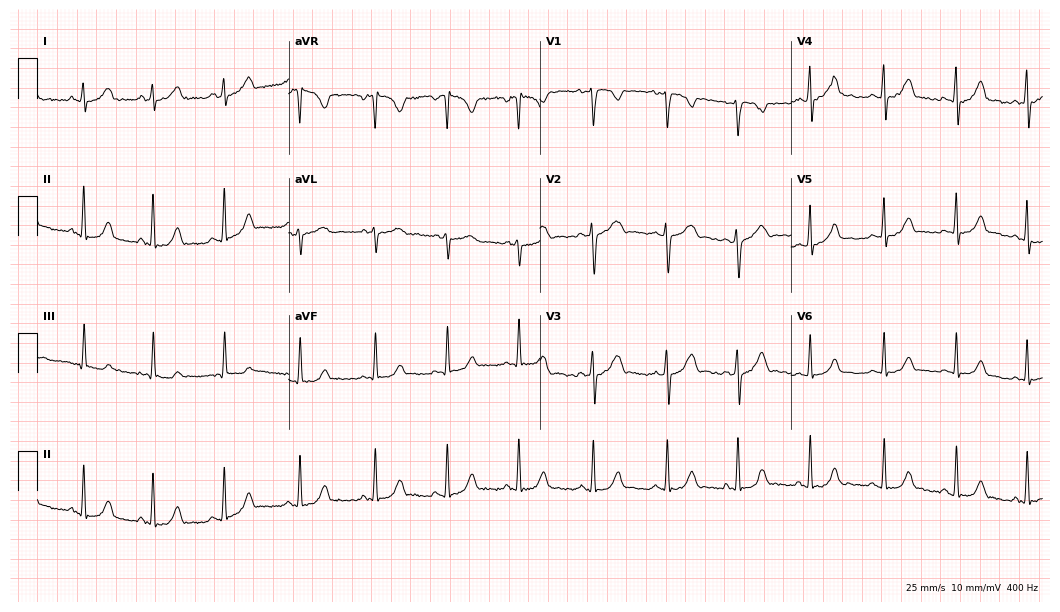
Standard 12-lead ECG recorded from a female, 25 years old (10.2-second recording at 400 Hz). Read as a normal ECG.